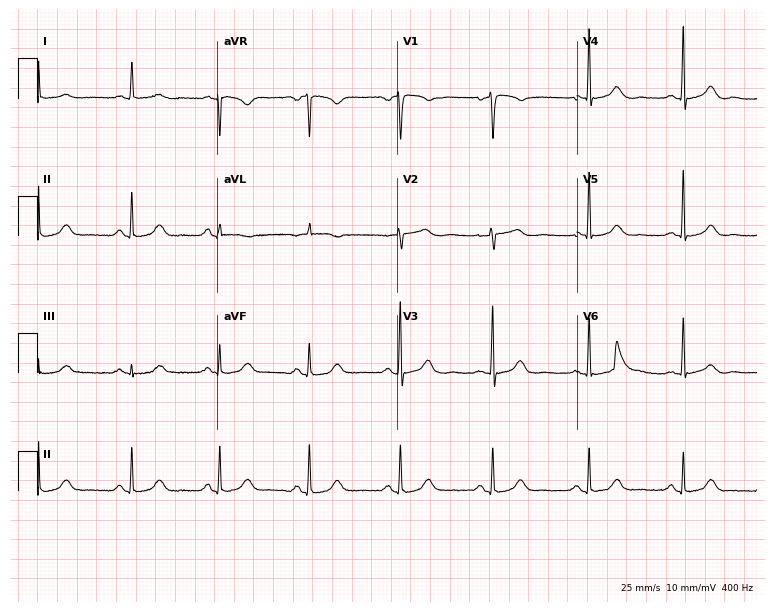
Standard 12-lead ECG recorded from a 72-year-old woman. None of these six findings is recorded: first-degree AV block, right bundle branch block (RBBB), left bundle branch block (LBBB), sinus bradycardia, atrial fibrillation (AF), sinus tachycardia. Other findings, if any, are not listed.